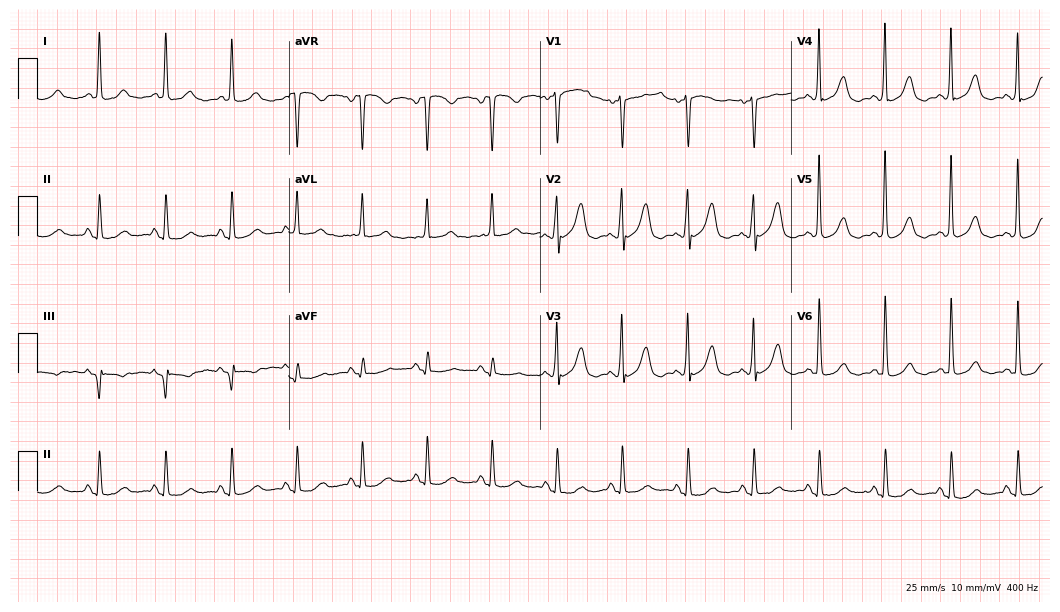
ECG (10.2-second recording at 400 Hz) — a 79-year-old female patient. Labelled as a normal ECG.